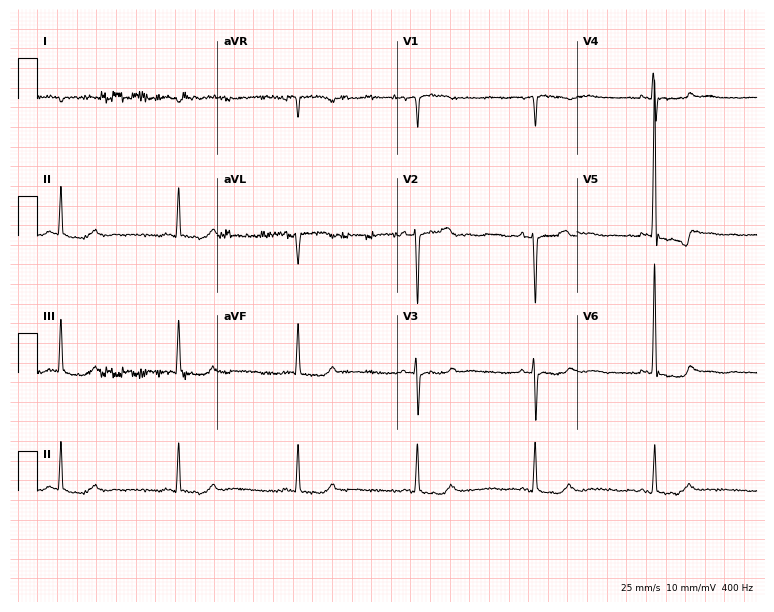
Electrocardiogram (7.3-second recording at 400 Hz), a 69-year-old female. Interpretation includes sinus bradycardia (a sinus rate of 50 beats per minute or less).